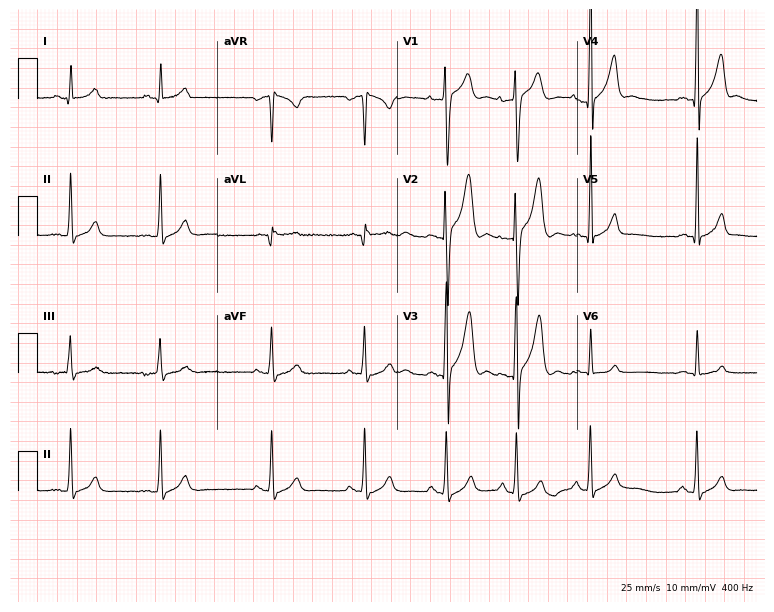
Electrocardiogram (7.3-second recording at 400 Hz), a man, 23 years old. Overall reading on record: normal ECG.